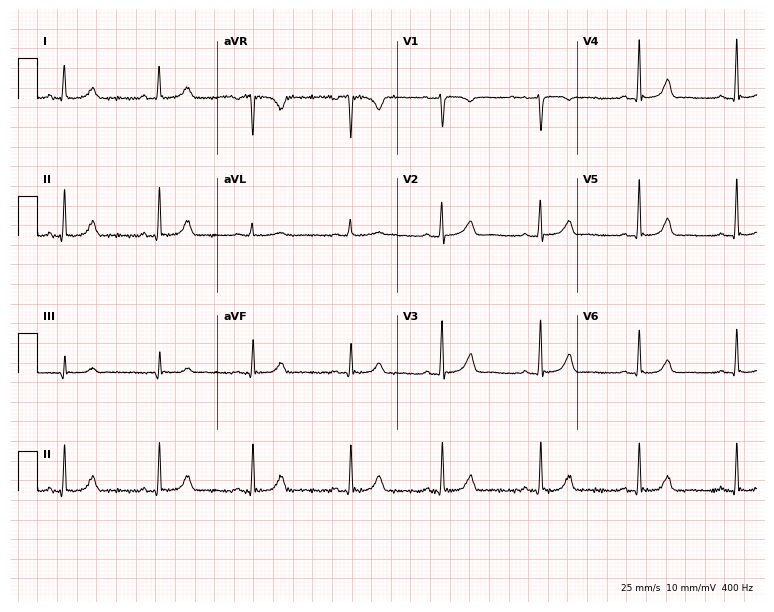
Standard 12-lead ECG recorded from a female patient, 45 years old (7.3-second recording at 400 Hz). None of these six findings is recorded: first-degree AV block, right bundle branch block (RBBB), left bundle branch block (LBBB), sinus bradycardia, atrial fibrillation (AF), sinus tachycardia.